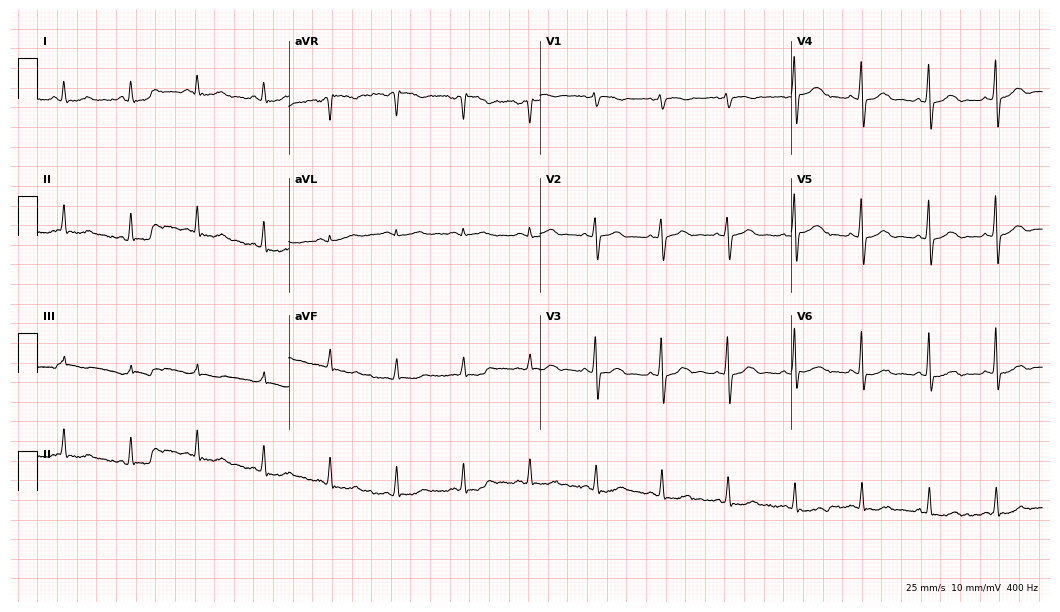
Standard 12-lead ECG recorded from a 54-year-old male (10.2-second recording at 400 Hz). None of these six findings is recorded: first-degree AV block, right bundle branch block, left bundle branch block, sinus bradycardia, atrial fibrillation, sinus tachycardia. Other findings, if any, are not listed.